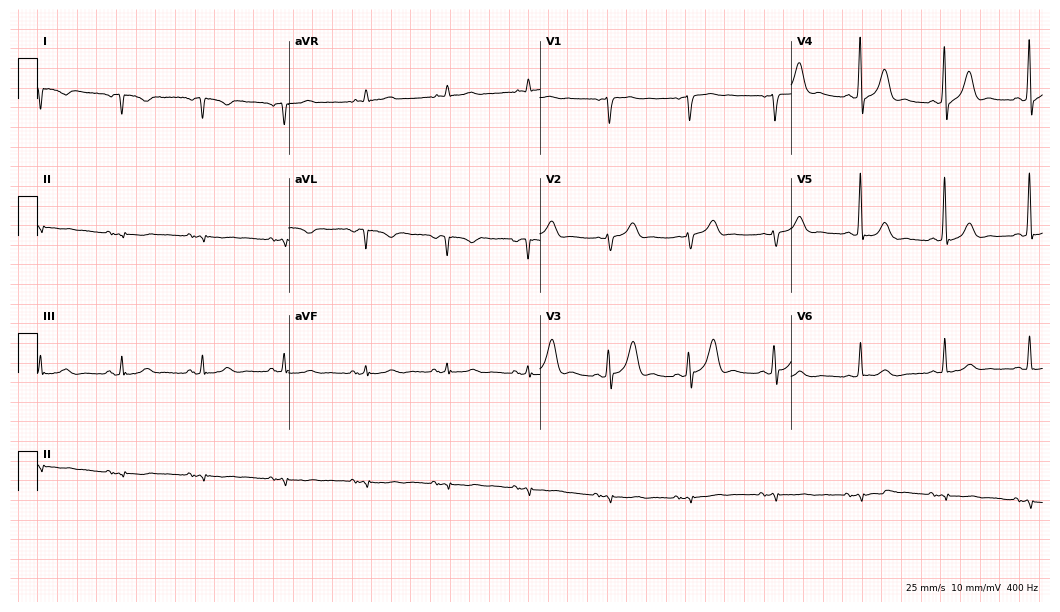
ECG — a 54-year-old man. Screened for six findings — first-degree AV block, right bundle branch block, left bundle branch block, sinus bradycardia, atrial fibrillation, sinus tachycardia — none is recorded.